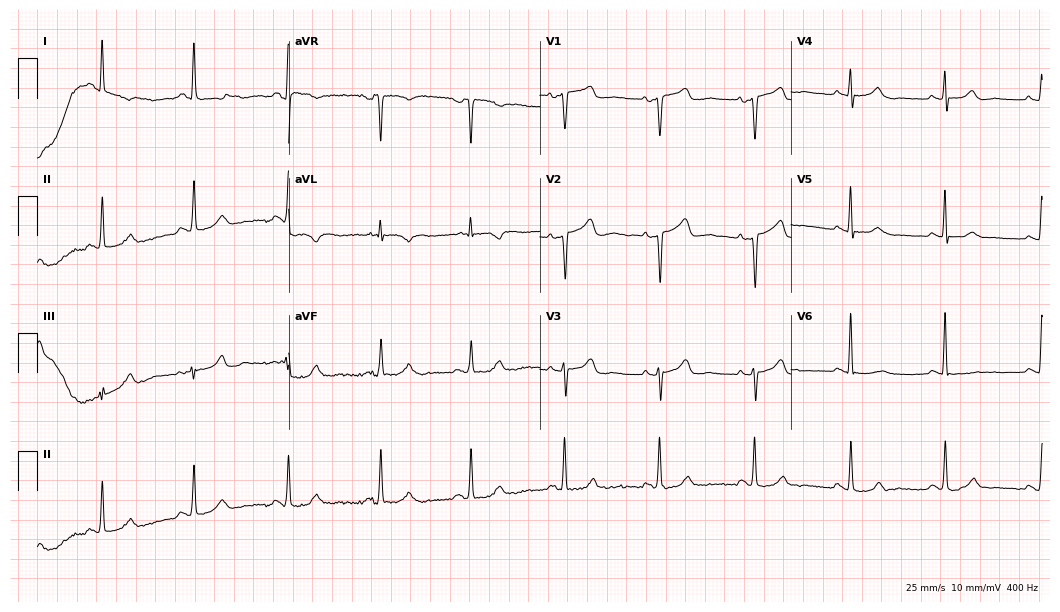
Resting 12-lead electrocardiogram. Patient: a female, 74 years old. None of these six findings is recorded: first-degree AV block, right bundle branch block, left bundle branch block, sinus bradycardia, atrial fibrillation, sinus tachycardia.